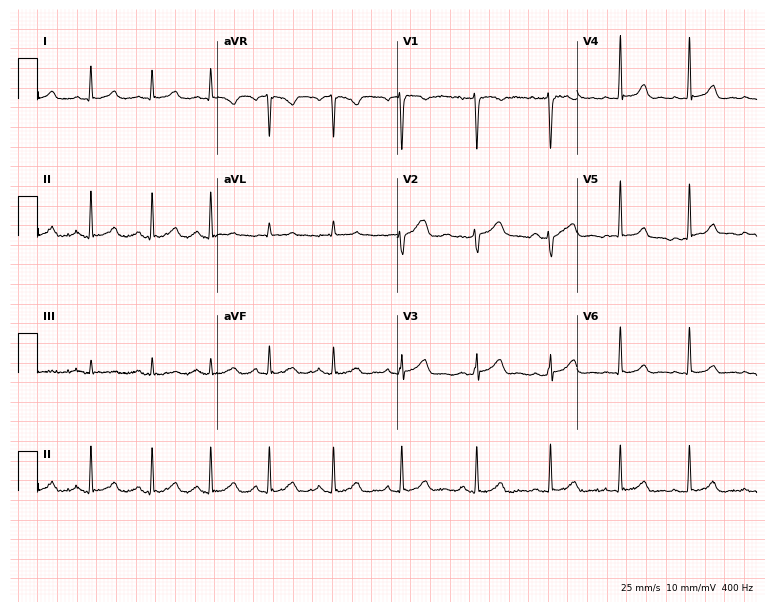
Standard 12-lead ECG recorded from a 43-year-old female patient. Read as a normal ECG.